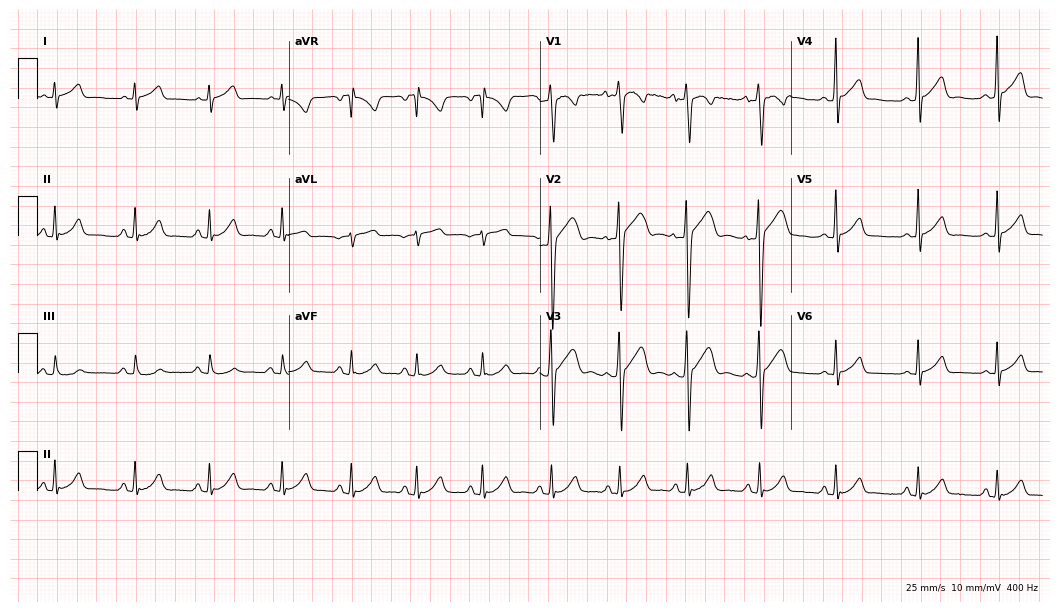
Electrocardiogram, a 17-year-old man. Overall reading on record: normal ECG.